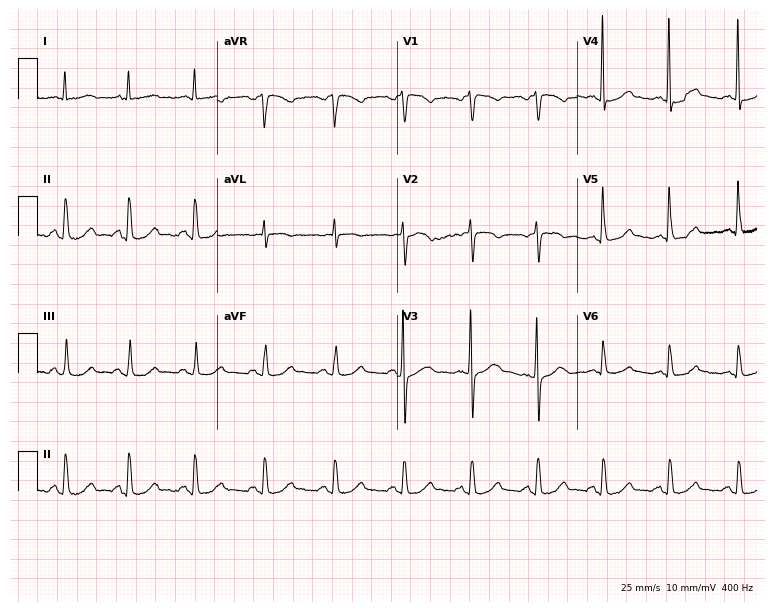
12-lead ECG from a woman, 68 years old (7.3-second recording at 400 Hz). Recorded interpretation: within normal limits.